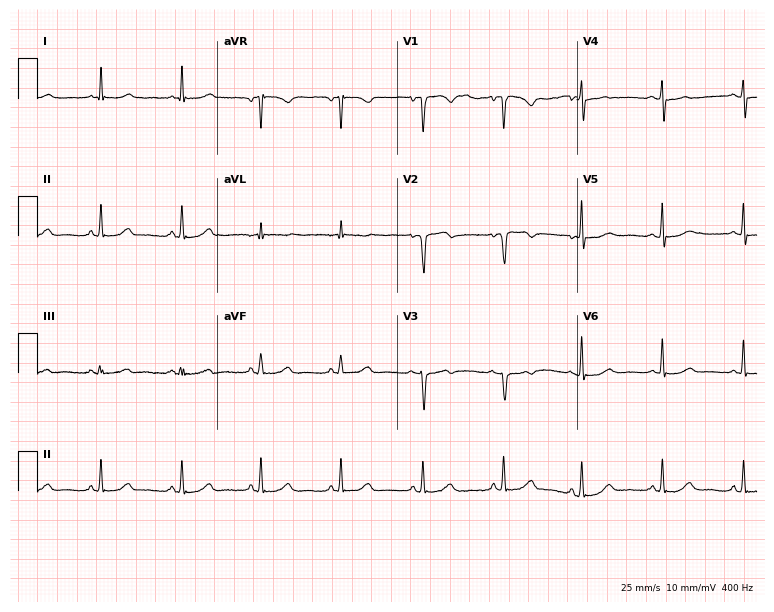
Standard 12-lead ECG recorded from a female patient, 59 years old. None of these six findings is recorded: first-degree AV block, right bundle branch block, left bundle branch block, sinus bradycardia, atrial fibrillation, sinus tachycardia. Only these six findings were labelled.